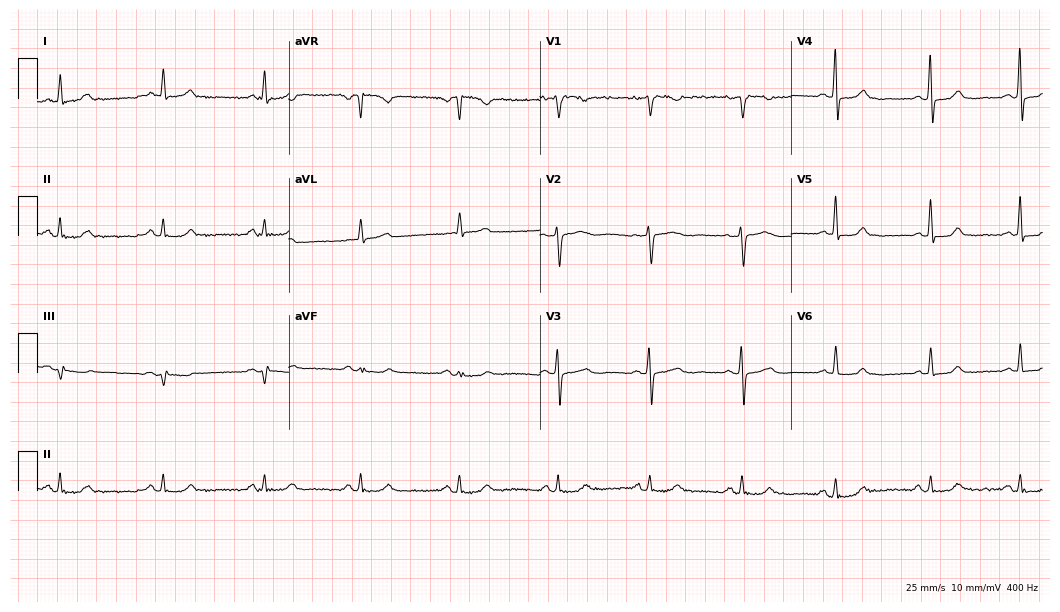
Resting 12-lead electrocardiogram. Patient: a woman, 65 years old. None of these six findings is recorded: first-degree AV block, right bundle branch block, left bundle branch block, sinus bradycardia, atrial fibrillation, sinus tachycardia. Findings outside these six are not listed.